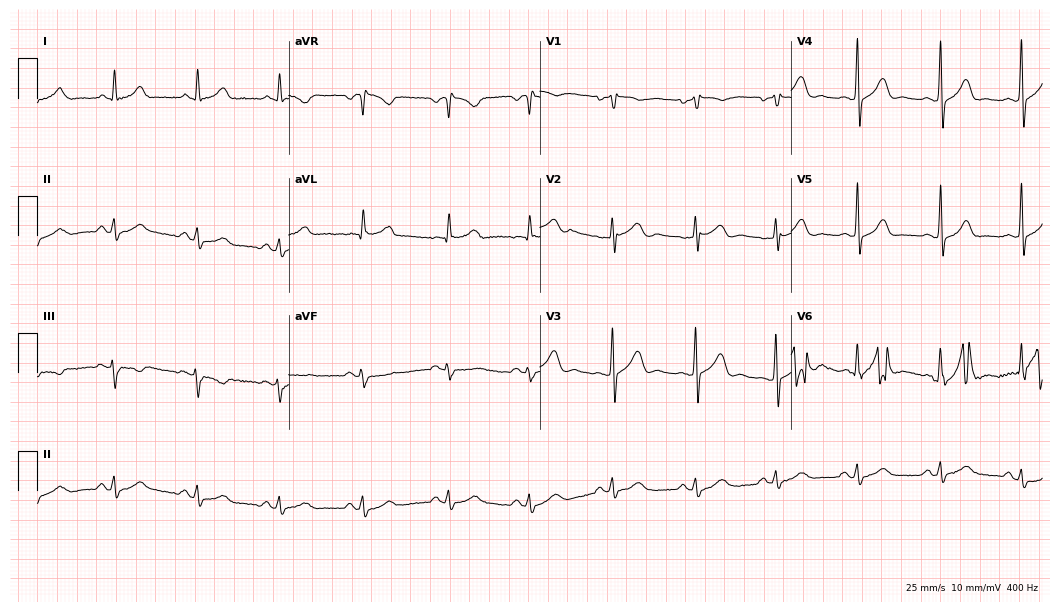
ECG — a 36-year-old female patient. Screened for six findings — first-degree AV block, right bundle branch block, left bundle branch block, sinus bradycardia, atrial fibrillation, sinus tachycardia — none is recorded. Findings outside these six are not listed.